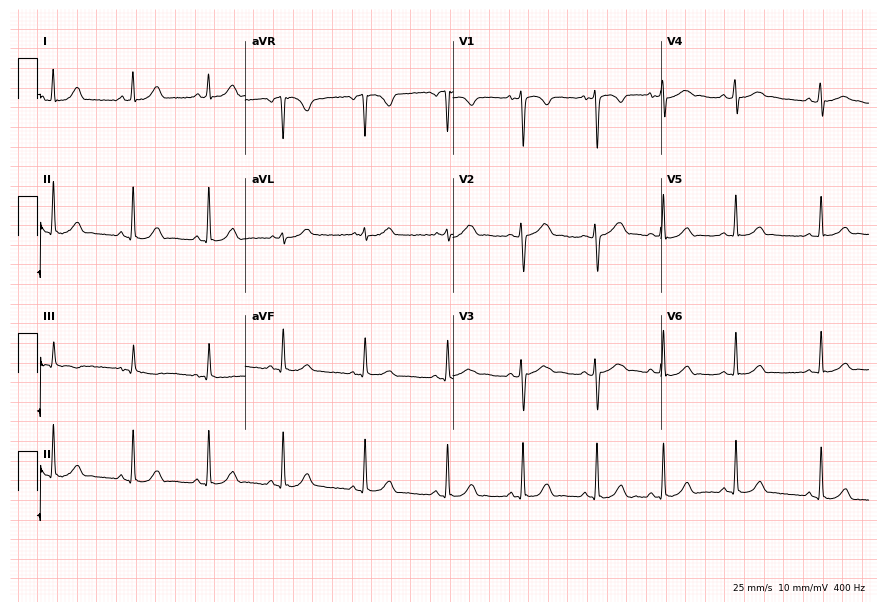
ECG (8.5-second recording at 400 Hz) — a female patient, 21 years old. Labelled as a normal ECG.